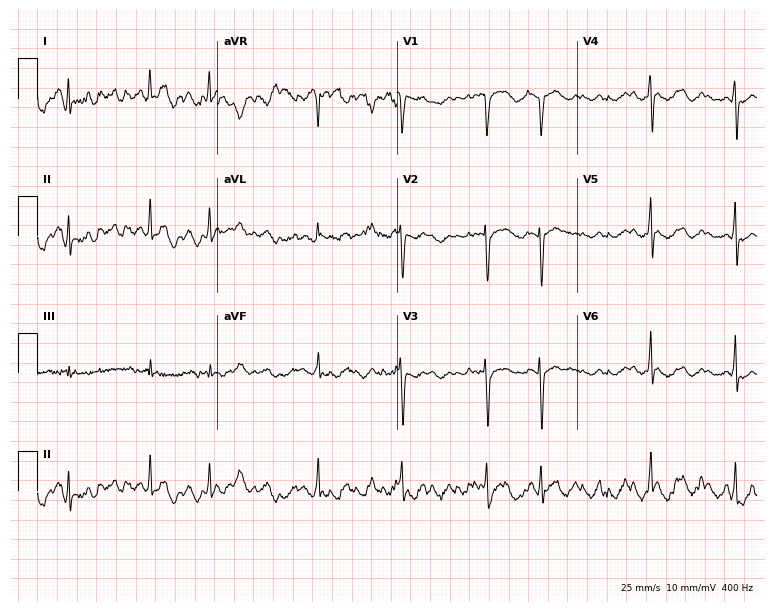
Standard 12-lead ECG recorded from a 78-year-old female patient. None of these six findings is recorded: first-degree AV block, right bundle branch block, left bundle branch block, sinus bradycardia, atrial fibrillation, sinus tachycardia.